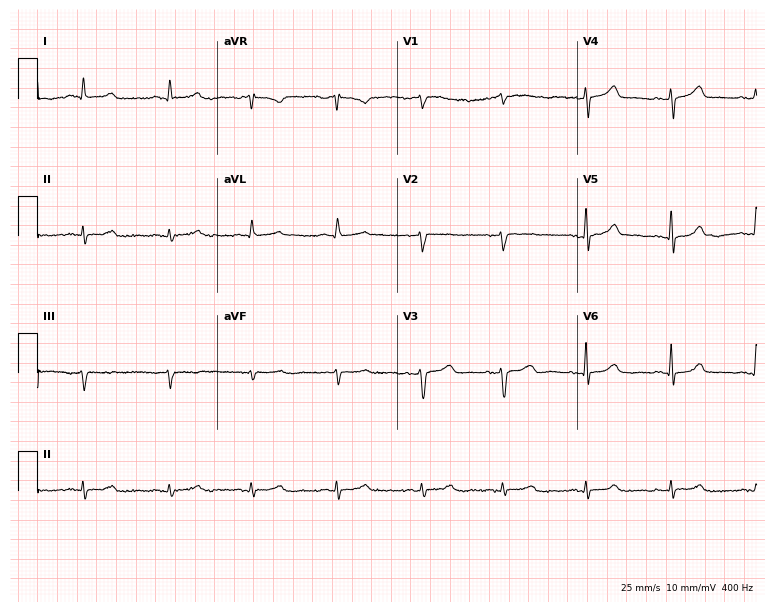
Electrocardiogram (7.3-second recording at 400 Hz), a 56-year-old female. Of the six screened findings (first-degree AV block, right bundle branch block, left bundle branch block, sinus bradycardia, atrial fibrillation, sinus tachycardia), none is recorded.